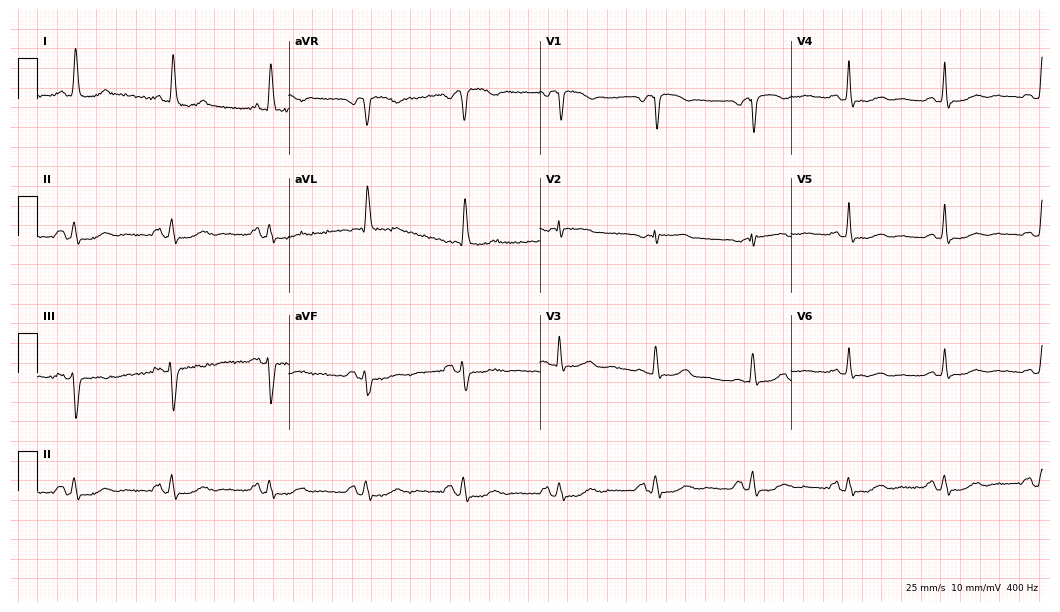
Electrocardiogram (10.2-second recording at 400 Hz), a woman, 77 years old. Of the six screened findings (first-degree AV block, right bundle branch block, left bundle branch block, sinus bradycardia, atrial fibrillation, sinus tachycardia), none is recorded.